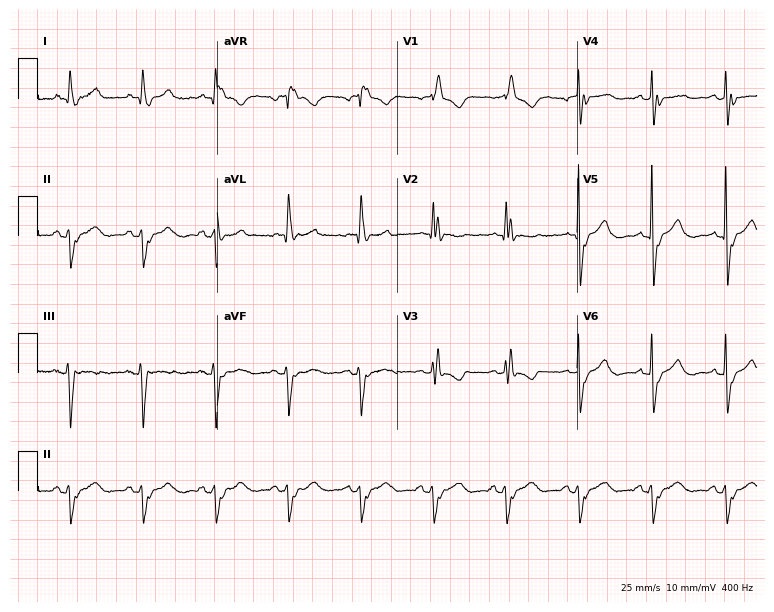
12-lead ECG from a 78-year-old female patient (7.3-second recording at 400 Hz). Shows right bundle branch block, left bundle branch block.